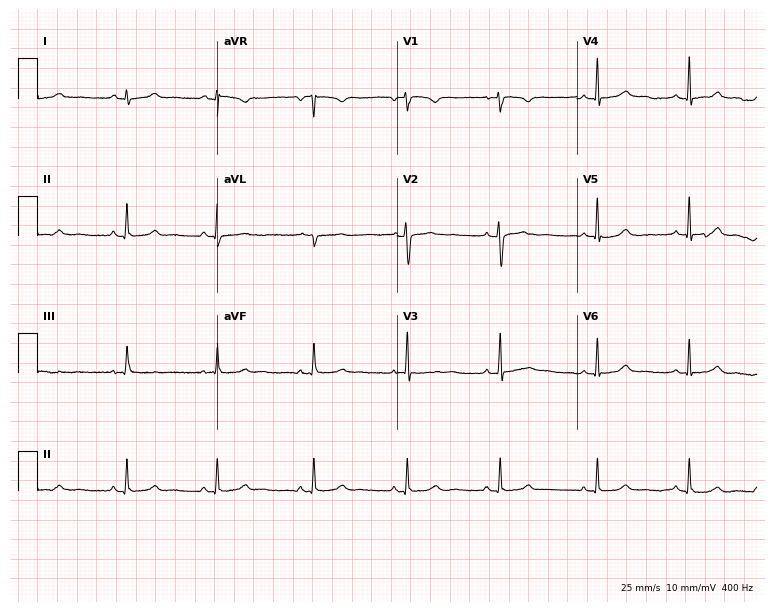
Electrocardiogram, a female patient, 34 years old. Overall reading on record: normal ECG.